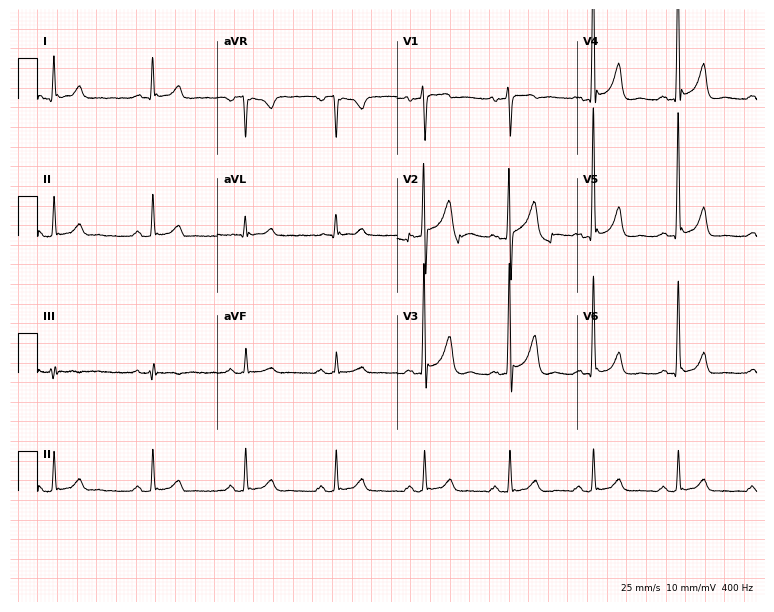
Resting 12-lead electrocardiogram. Patient: a 51-year-old man. None of these six findings is recorded: first-degree AV block, right bundle branch block, left bundle branch block, sinus bradycardia, atrial fibrillation, sinus tachycardia.